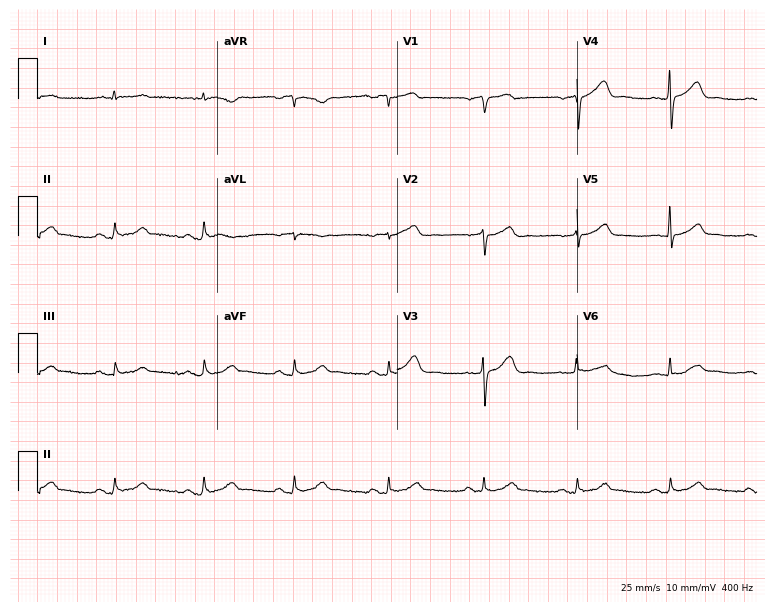
Electrocardiogram (7.3-second recording at 400 Hz), a 76-year-old male. Of the six screened findings (first-degree AV block, right bundle branch block, left bundle branch block, sinus bradycardia, atrial fibrillation, sinus tachycardia), none is recorded. Only these six findings were labelled.